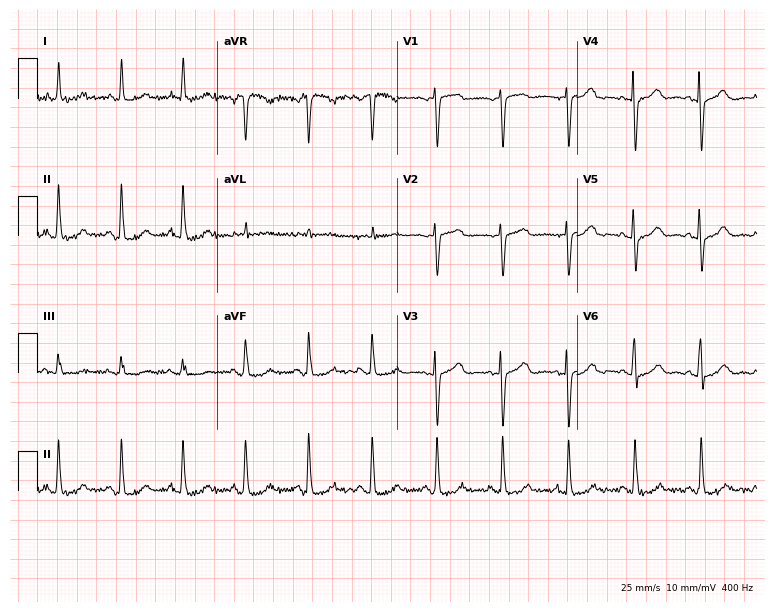
Resting 12-lead electrocardiogram (7.3-second recording at 400 Hz). Patient: a female, 75 years old. None of these six findings is recorded: first-degree AV block, right bundle branch block, left bundle branch block, sinus bradycardia, atrial fibrillation, sinus tachycardia. Only these six findings were labelled.